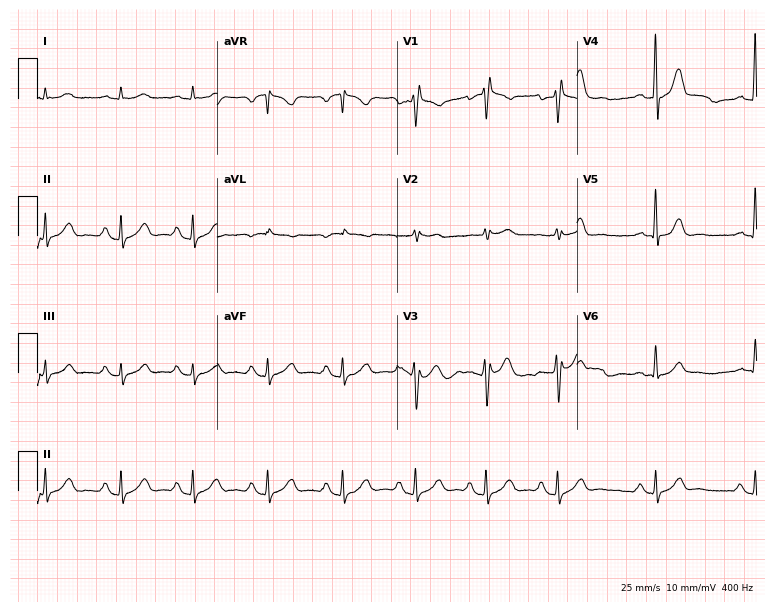
Standard 12-lead ECG recorded from a male, 70 years old (7.3-second recording at 400 Hz). None of these six findings is recorded: first-degree AV block, right bundle branch block, left bundle branch block, sinus bradycardia, atrial fibrillation, sinus tachycardia. Only these six findings were labelled.